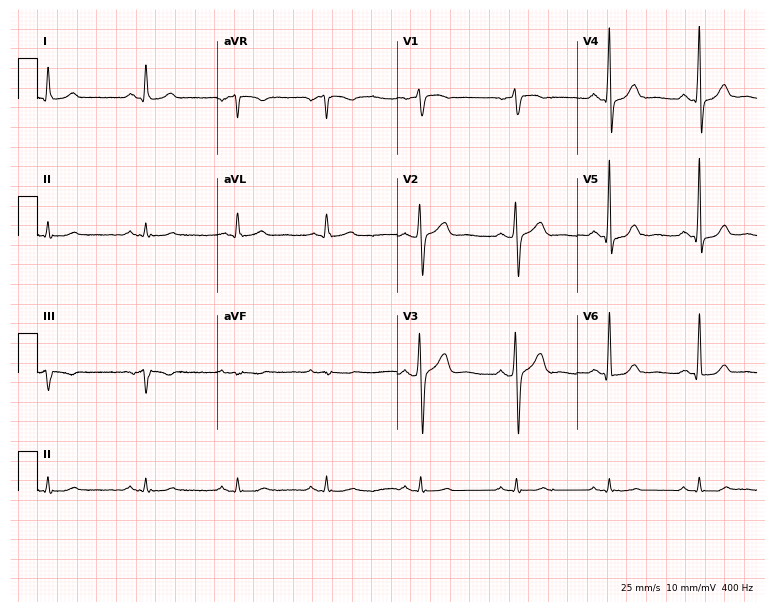
Electrocardiogram (7.3-second recording at 400 Hz), a man, 55 years old. Overall reading on record: normal ECG.